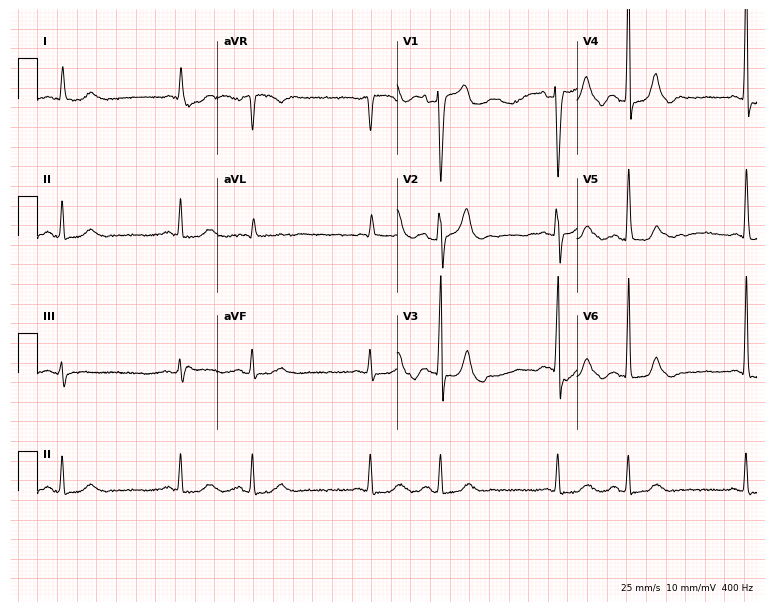
12-lead ECG from a male patient, 76 years old (7.3-second recording at 400 Hz). No first-degree AV block, right bundle branch block, left bundle branch block, sinus bradycardia, atrial fibrillation or sinus tachycardia recorded for this tracing. Only these six findings were labelled.